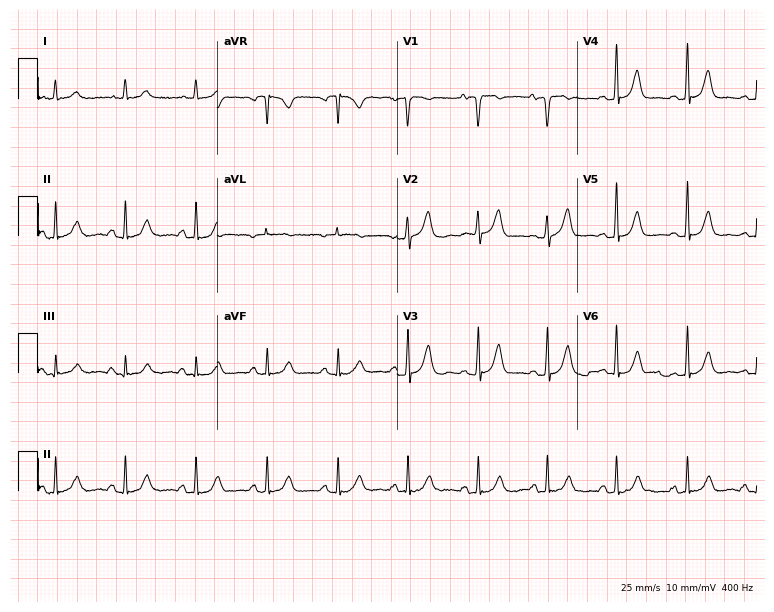
ECG — a 63-year-old female patient. Labelled as a normal ECG.